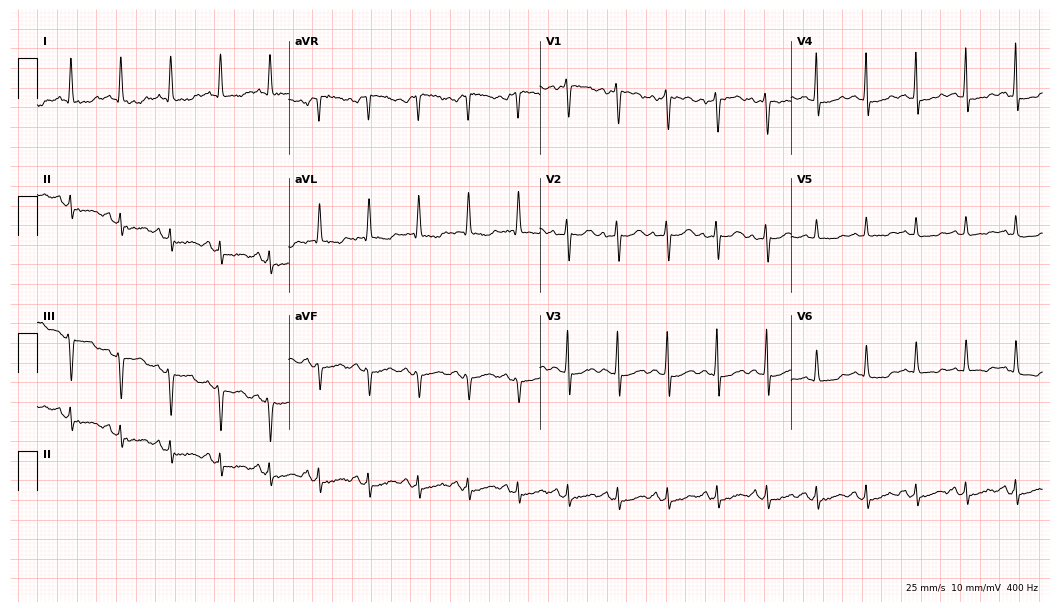
Standard 12-lead ECG recorded from a female patient, 45 years old (10.2-second recording at 400 Hz). The tracing shows sinus tachycardia (a sinus rate of 100 beats per minute or more).